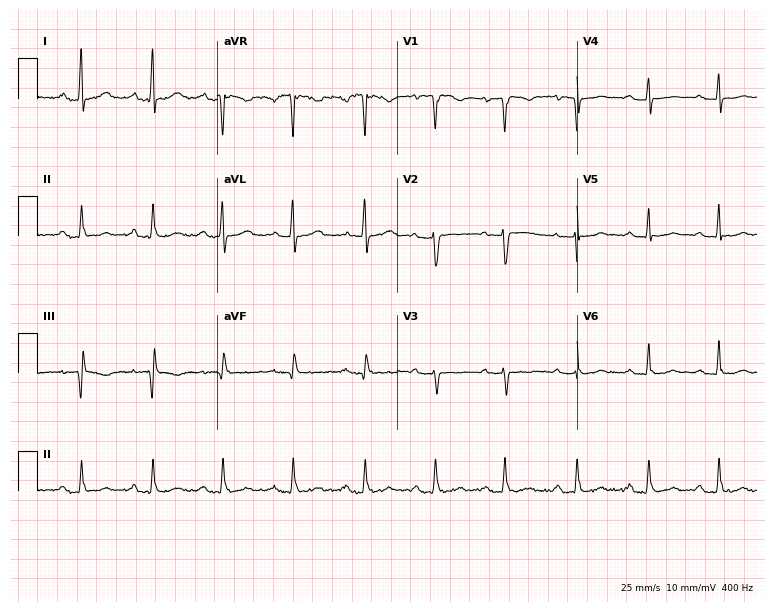
ECG — a 49-year-old female. Findings include first-degree AV block.